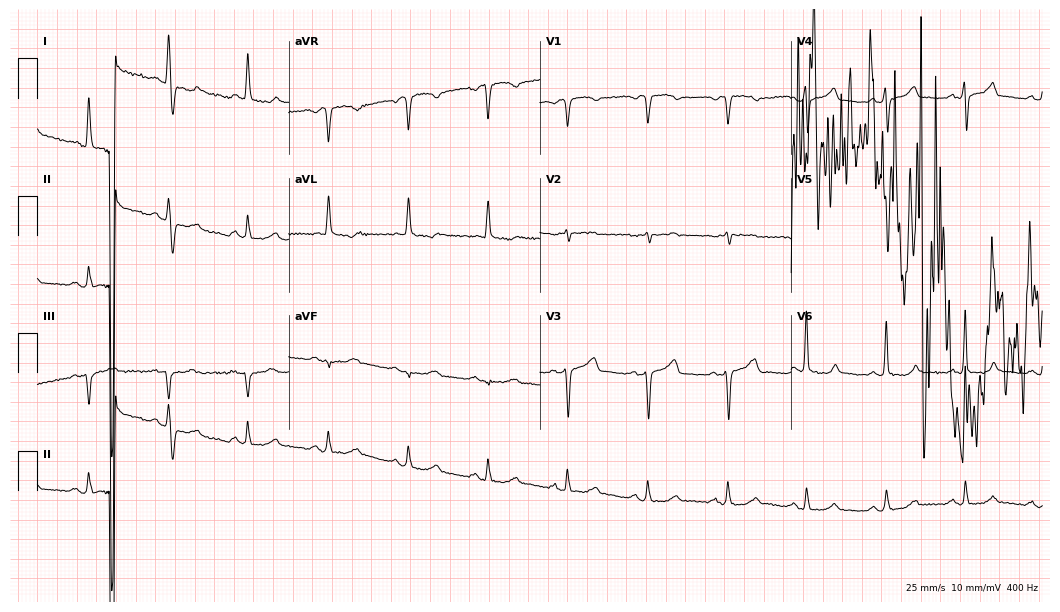
ECG (10.2-second recording at 400 Hz) — a female, 83 years old. Screened for six findings — first-degree AV block, right bundle branch block, left bundle branch block, sinus bradycardia, atrial fibrillation, sinus tachycardia — none is recorded. Only these six findings were labelled.